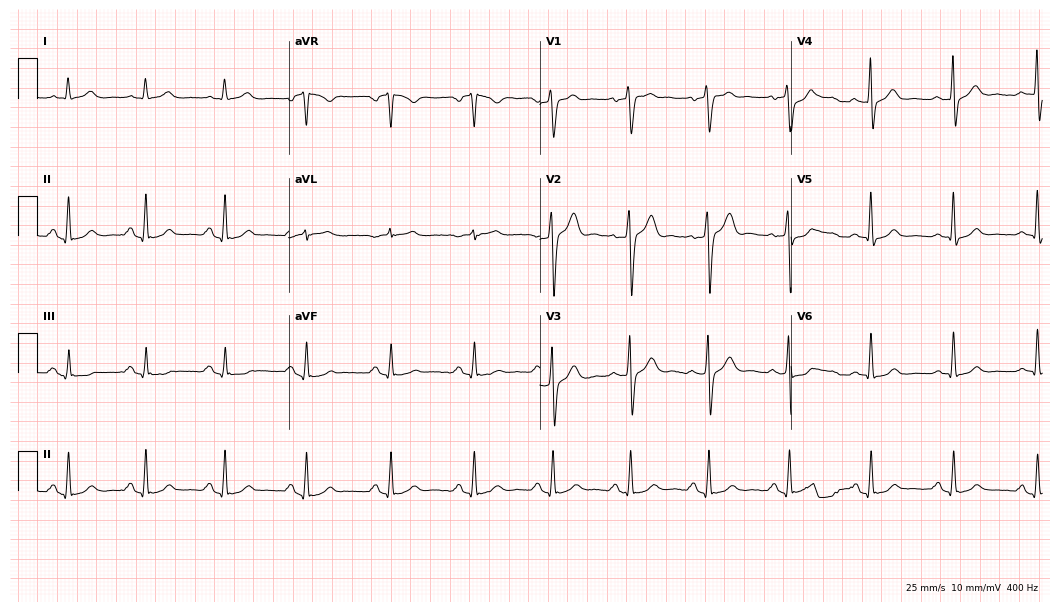
ECG (10.2-second recording at 400 Hz) — a 32-year-old man. Screened for six findings — first-degree AV block, right bundle branch block, left bundle branch block, sinus bradycardia, atrial fibrillation, sinus tachycardia — none is recorded.